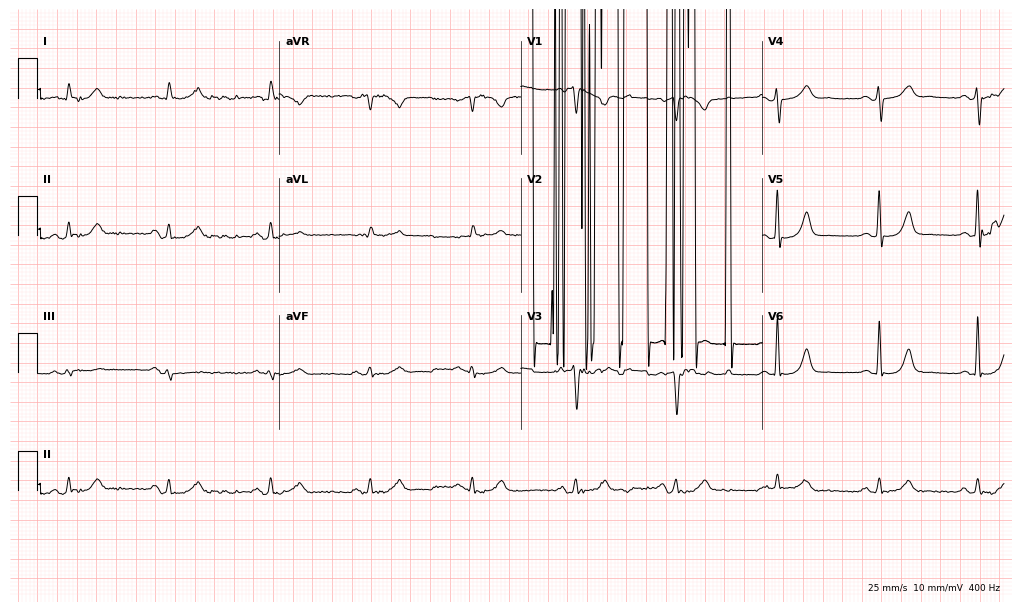
Standard 12-lead ECG recorded from a female, 59 years old (9.9-second recording at 400 Hz). None of these six findings is recorded: first-degree AV block, right bundle branch block, left bundle branch block, sinus bradycardia, atrial fibrillation, sinus tachycardia. Findings outside these six are not listed.